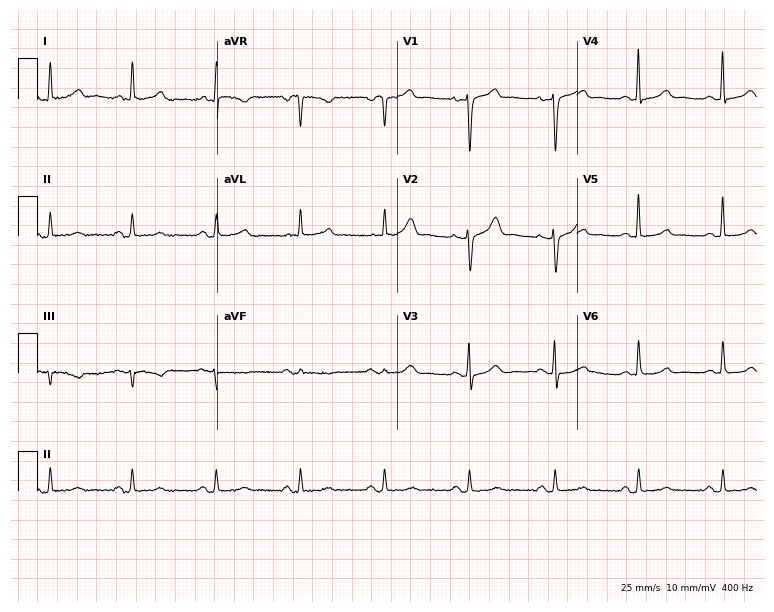
Electrocardiogram (7.3-second recording at 400 Hz), a female, 68 years old. Of the six screened findings (first-degree AV block, right bundle branch block, left bundle branch block, sinus bradycardia, atrial fibrillation, sinus tachycardia), none is recorded. Findings outside these six are not listed.